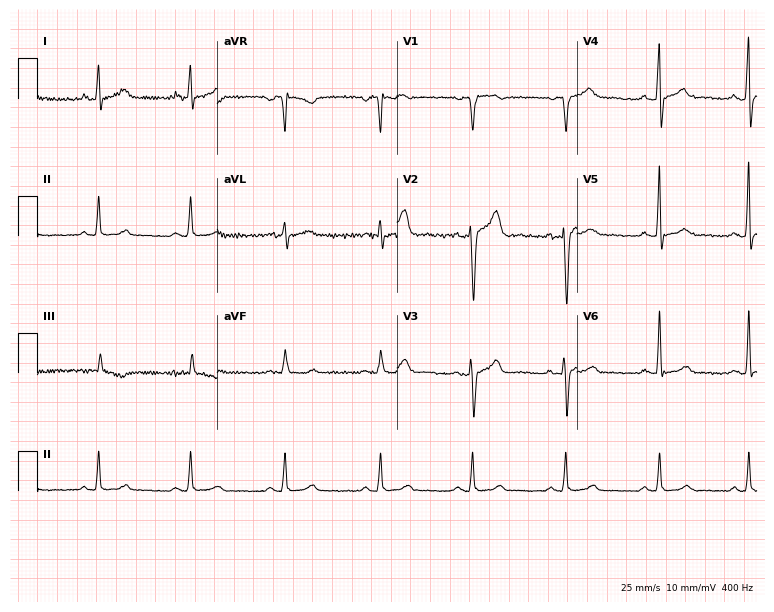
12-lead ECG from a male, 39 years old (7.3-second recording at 400 Hz). Recorded interpretation: within normal limits.